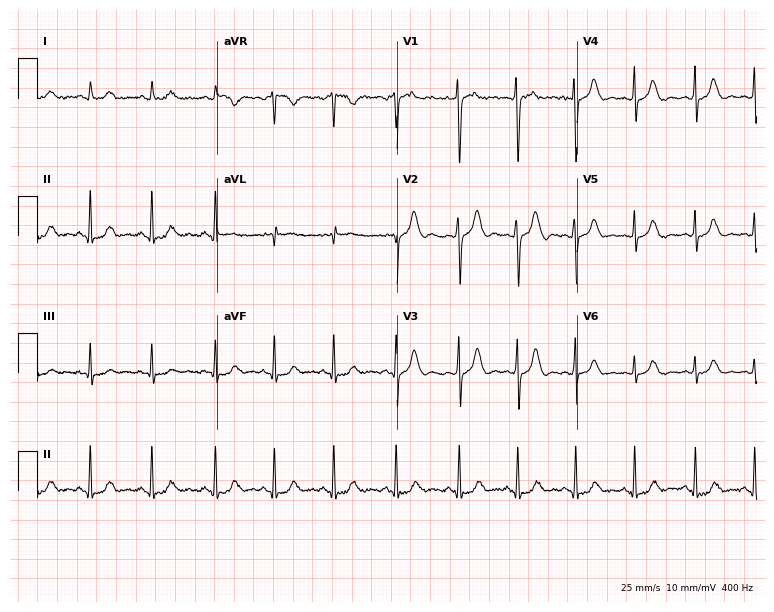
12-lead ECG from a woman, 27 years old. Screened for six findings — first-degree AV block, right bundle branch block, left bundle branch block, sinus bradycardia, atrial fibrillation, sinus tachycardia — none is recorded.